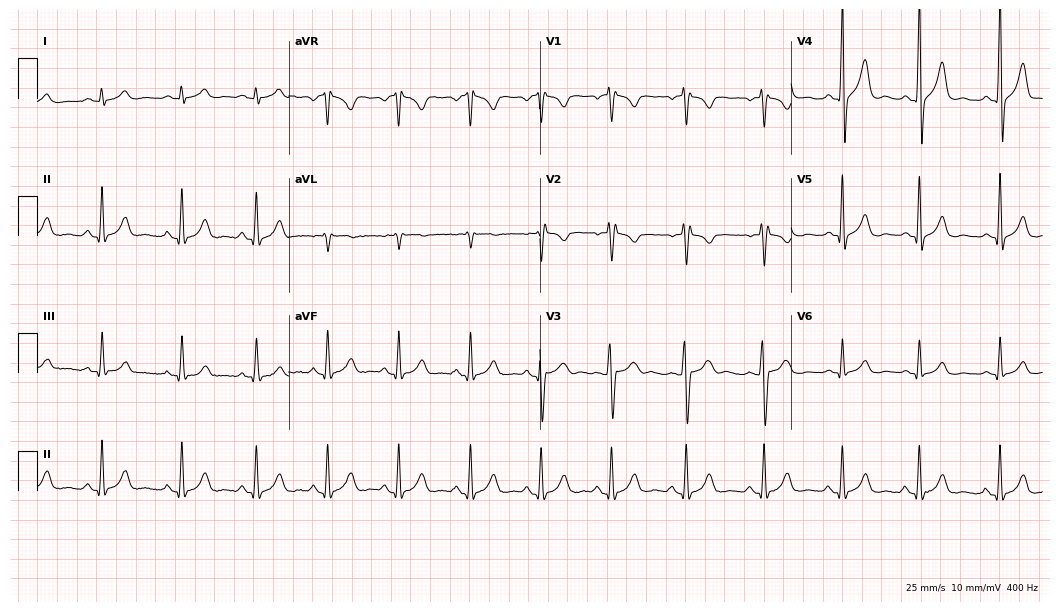
Electrocardiogram, a male patient, 18 years old. Of the six screened findings (first-degree AV block, right bundle branch block, left bundle branch block, sinus bradycardia, atrial fibrillation, sinus tachycardia), none is recorded.